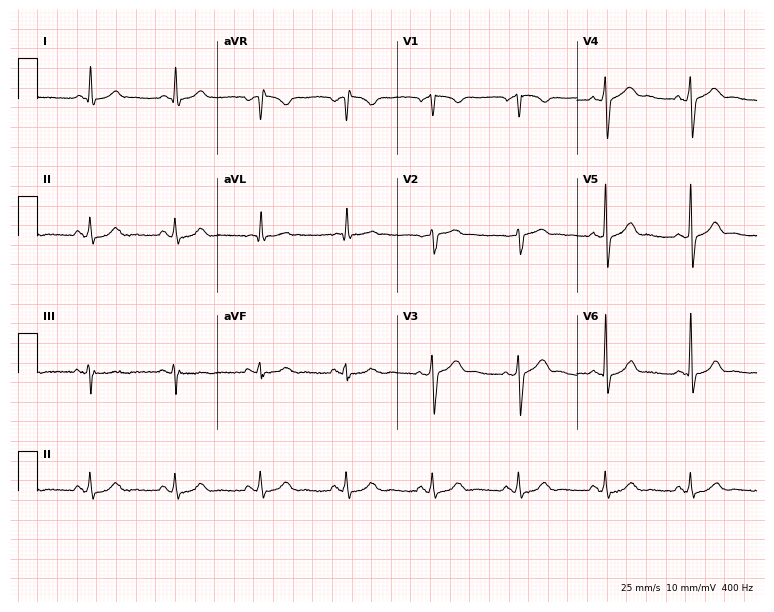
ECG — a 63-year-old male patient. Screened for six findings — first-degree AV block, right bundle branch block (RBBB), left bundle branch block (LBBB), sinus bradycardia, atrial fibrillation (AF), sinus tachycardia — none is recorded. Only these six findings were labelled.